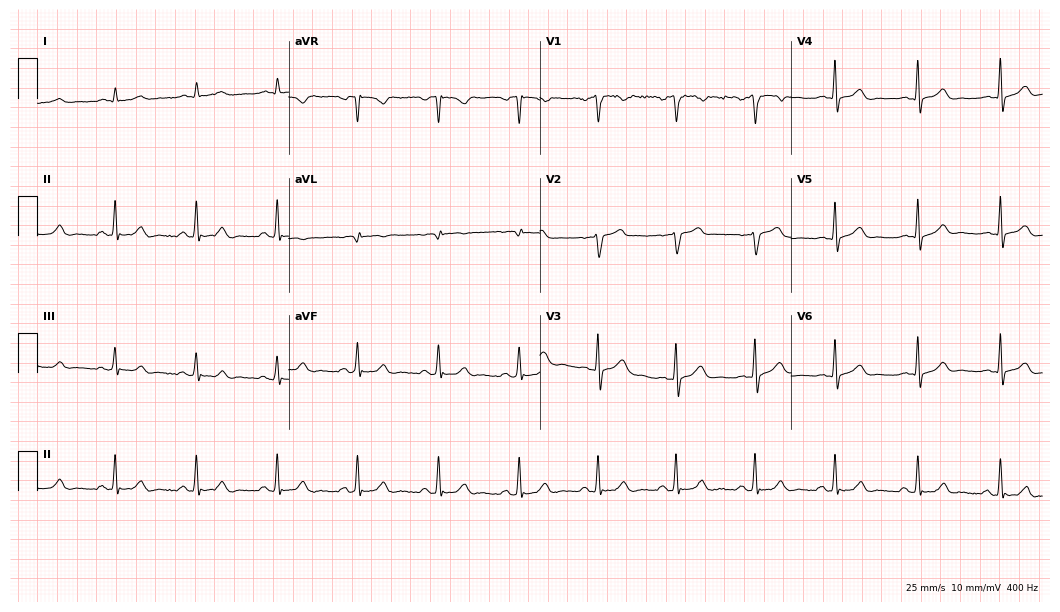
Resting 12-lead electrocardiogram (10.2-second recording at 400 Hz). Patient: a male, 42 years old. Read as a normal ECG.